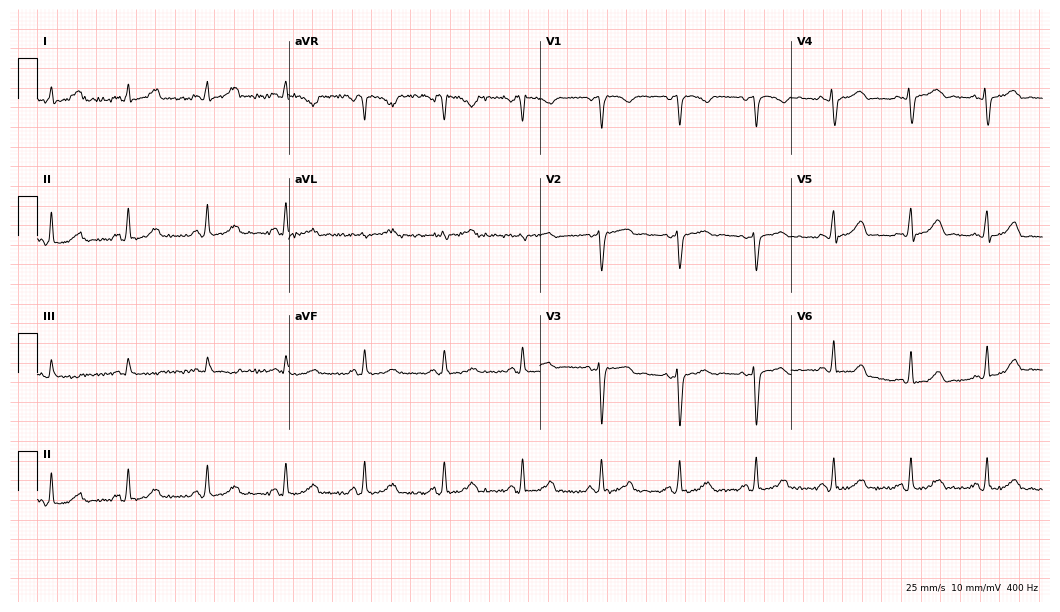
Resting 12-lead electrocardiogram. Patient: a 44-year-old woman. Read as a normal ECG.